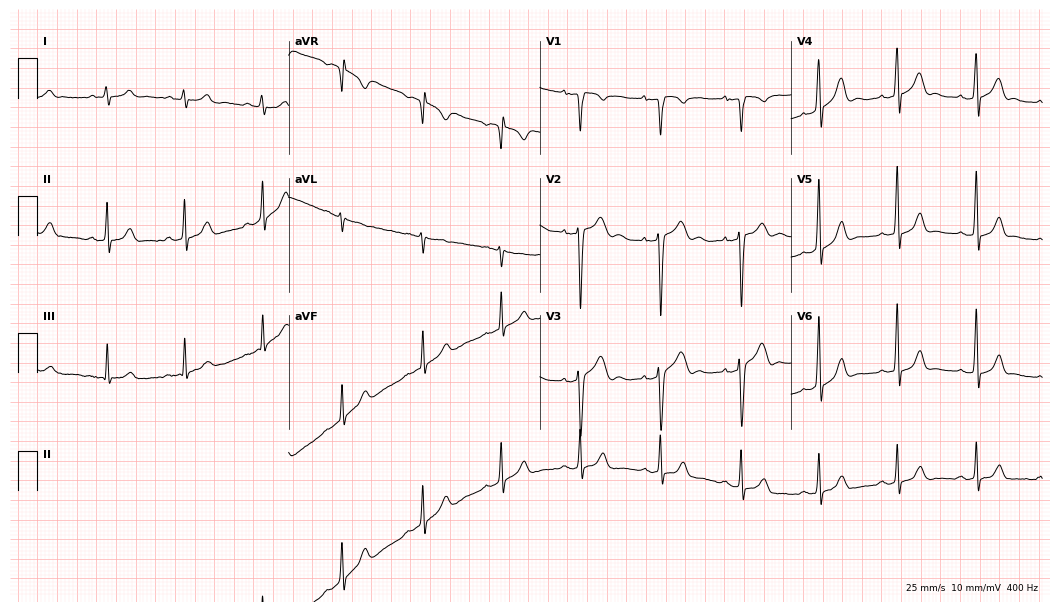
Standard 12-lead ECG recorded from a 40-year-old male patient. None of these six findings is recorded: first-degree AV block, right bundle branch block, left bundle branch block, sinus bradycardia, atrial fibrillation, sinus tachycardia.